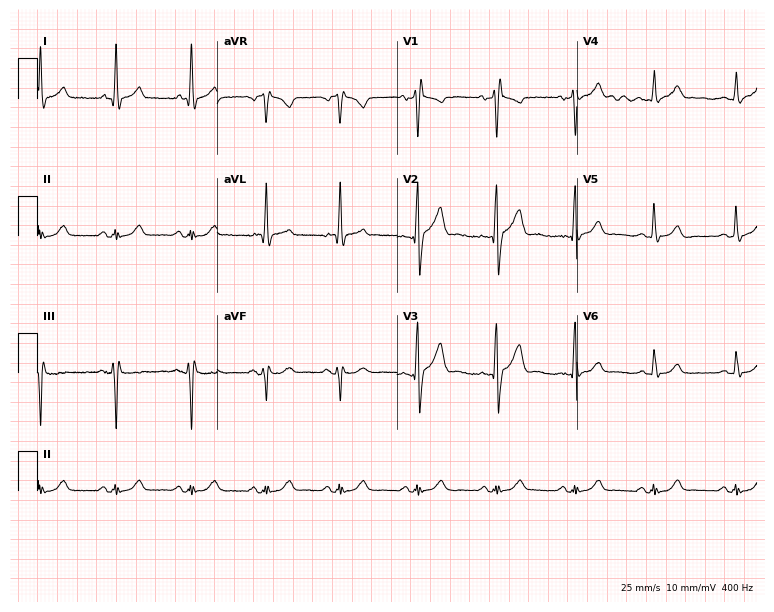
Resting 12-lead electrocardiogram. Patient: a 66-year-old male. None of these six findings is recorded: first-degree AV block, right bundle branch block (RBBB), left bundle branch block (LBBB), sinus bradycardia, atrial fibrillation (AF), sinus tachycardia.